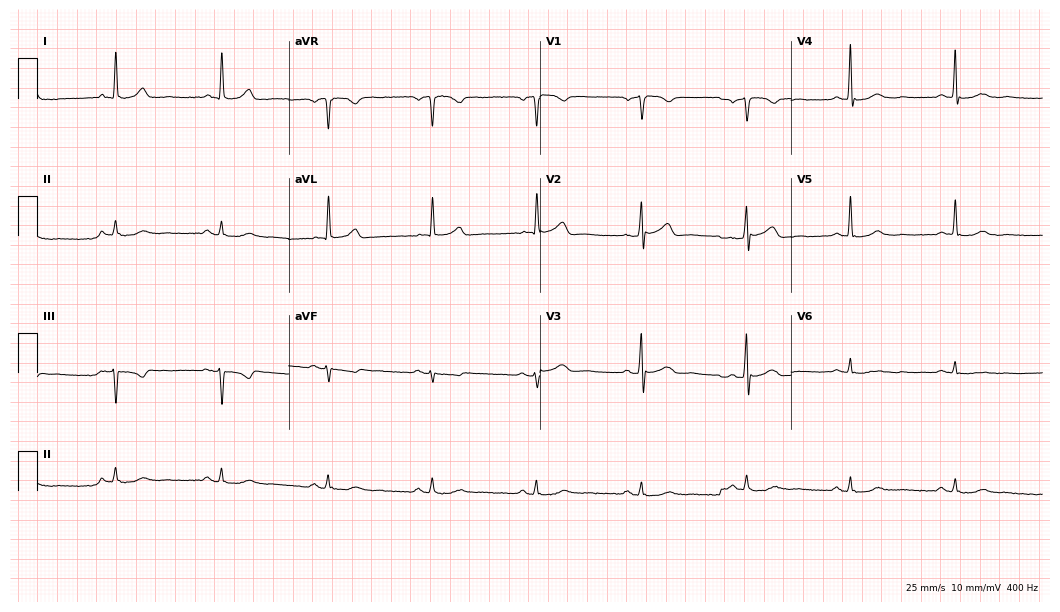
Electrocardiogram (10.2-second recording at 400 Hz), a male, 68 years old. Of the six screened findings (first-degree AV block, right bundle branch block (RBBB), left bundle branch block (LBBB), sinus bradycardia, atrial fibrillation (AF), sinus tachycardia), none is recorded. Findings outside these six are not listed.